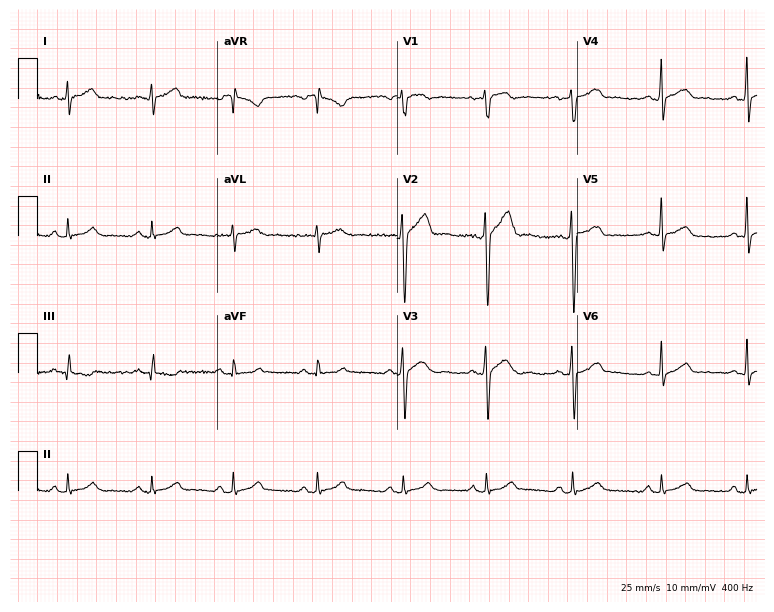
Standard 12-lead ECG recorded from a man, 26 years old. Read as a normal ECG.